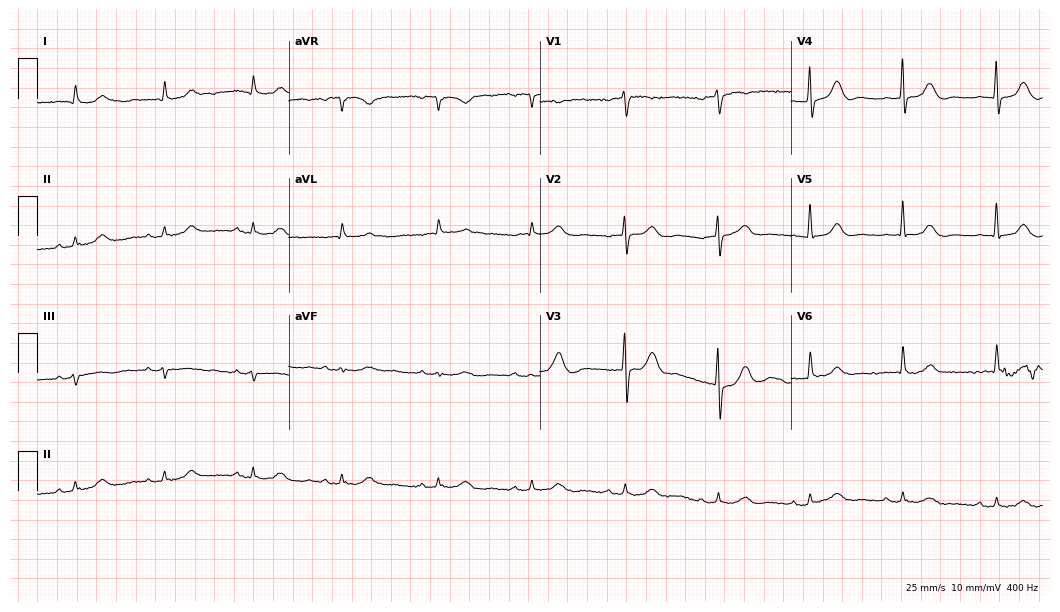
12-lead ECG (10.2-second recording at 400 Hz) from a 73-year-old male patient. Labelled as a normal ECG.